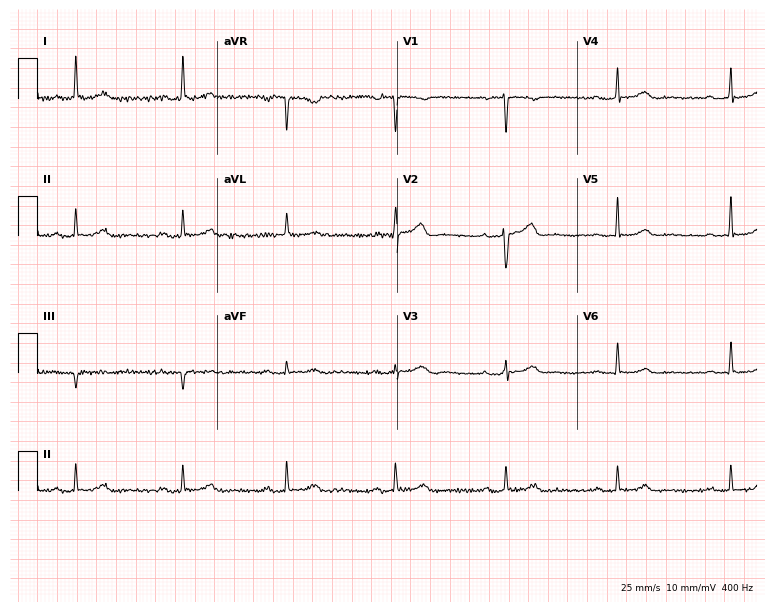
12-lead ECG from a 39-year-old woman. Shows first-degree AV block.